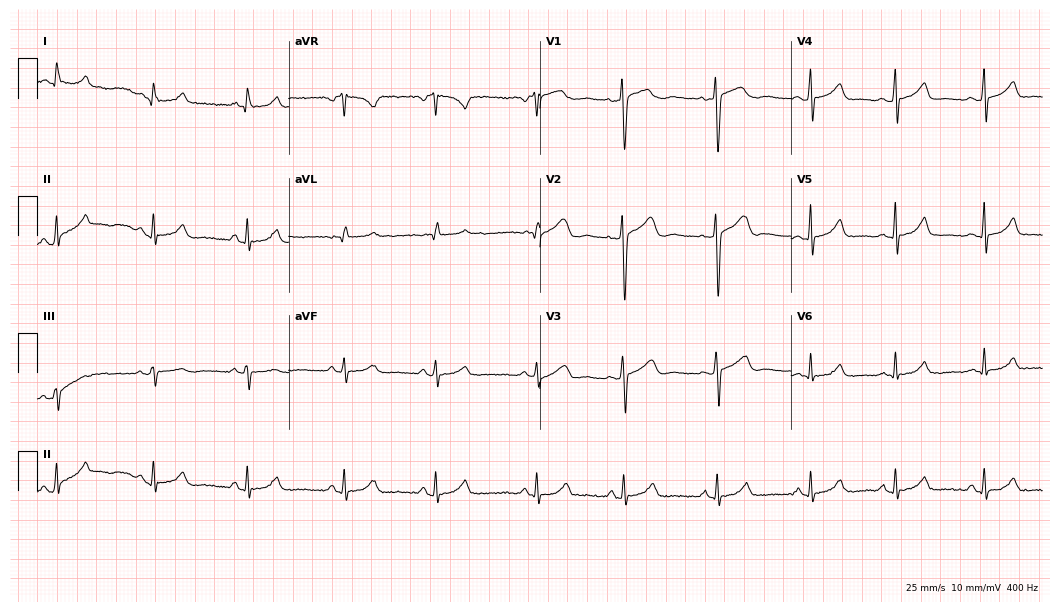
Standard 12-lead ECG recorded from a woman, 31 years old. None of these six findings is recorded: first-degree AV block, right bundle branch block (RBBB), left bundle branch block (LBBB), sinus bradycardia, atrial fibrillation (AF), sinus tachycardia.